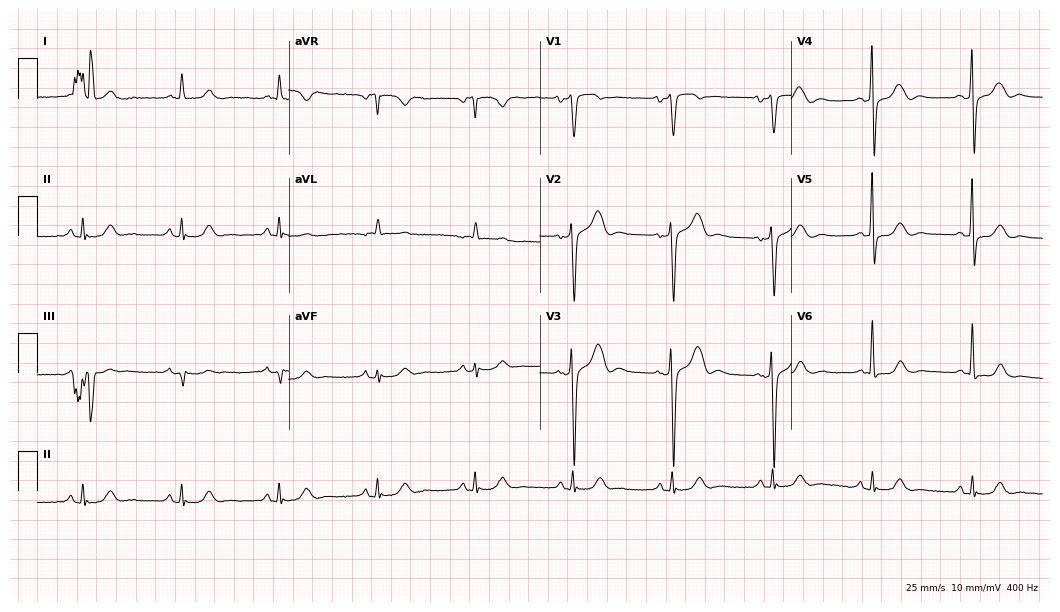
ECG — a male patient, 59 years old. Screened for six findings — first-degree AV block, right bundle branch block (RBBB), left bundle branch block (LBBB), sinus bradycardia, atrial fibrillation (AF), sinus tachycardia — none is recorded. Only these six findings were labelled.